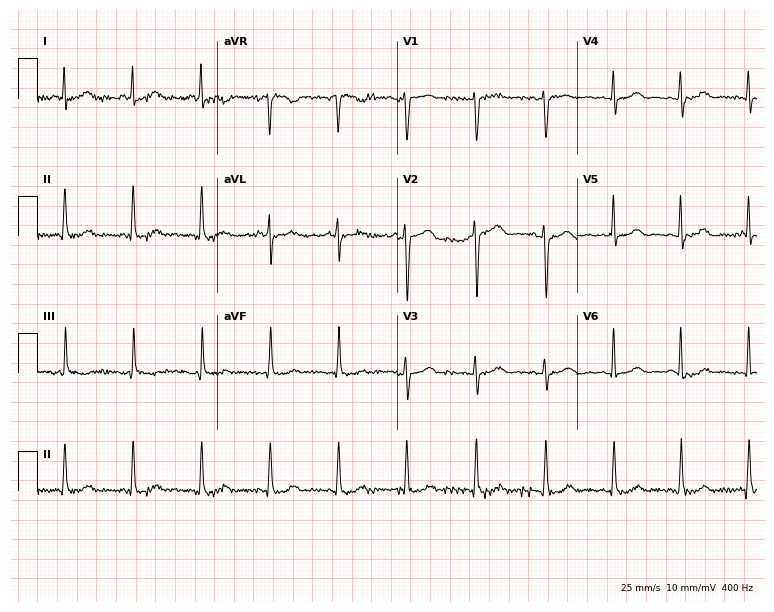
12-lead ECG from a 44-year-old female (7.3-second recording at 400 Hz). Recorded interpretation: within normal limits.